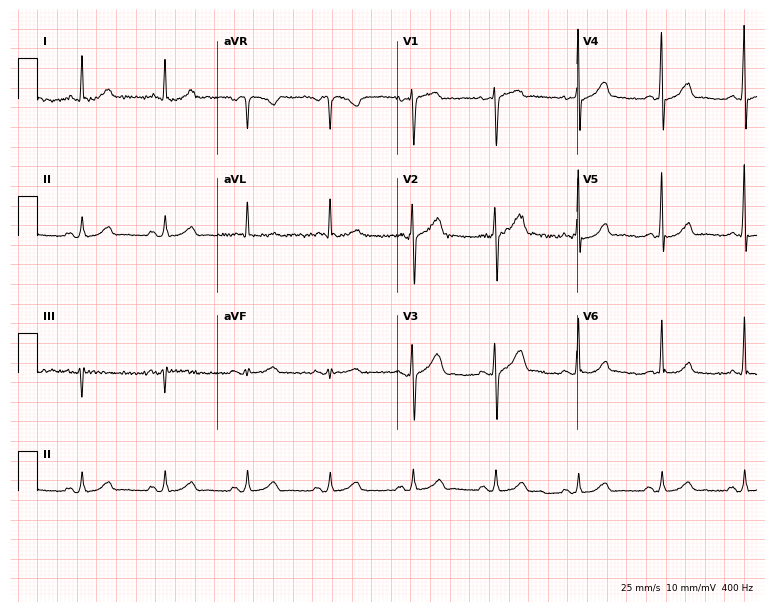
Electrocardiogram (7.3-second recording at 400 Hz), a male, 69 years old. Overall reading on record: normal ECG.